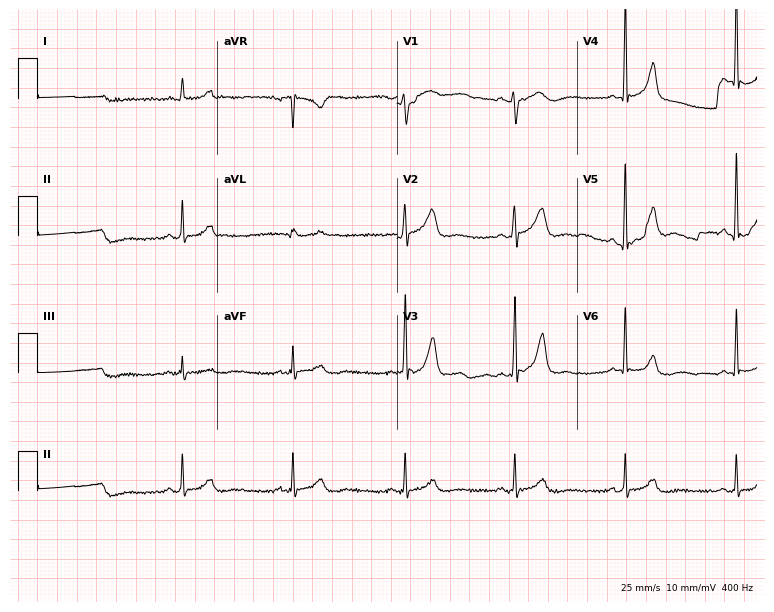
ECG — a 54-year-old male. Labelled as a normal ECG.